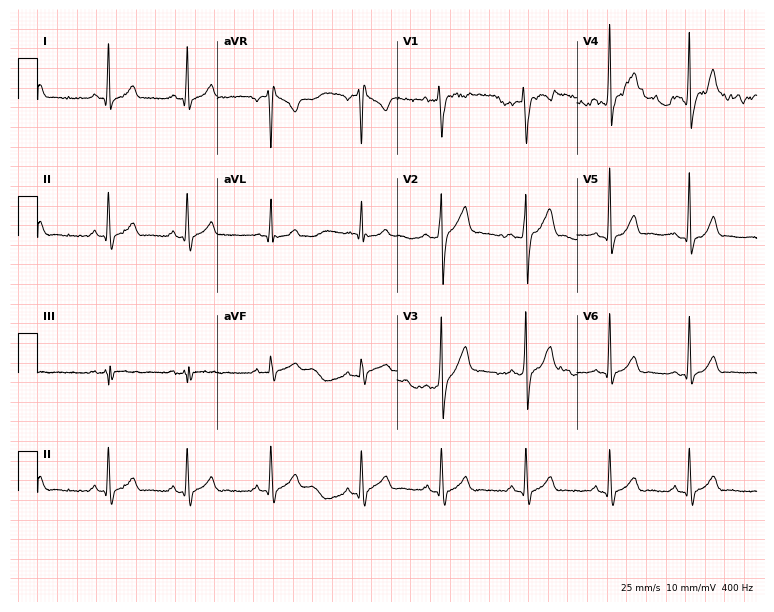
Standard 12-lead ECG recorded from a 21-year-old man (7.3-second recording at 400 Hz). Read as a normal ECG.